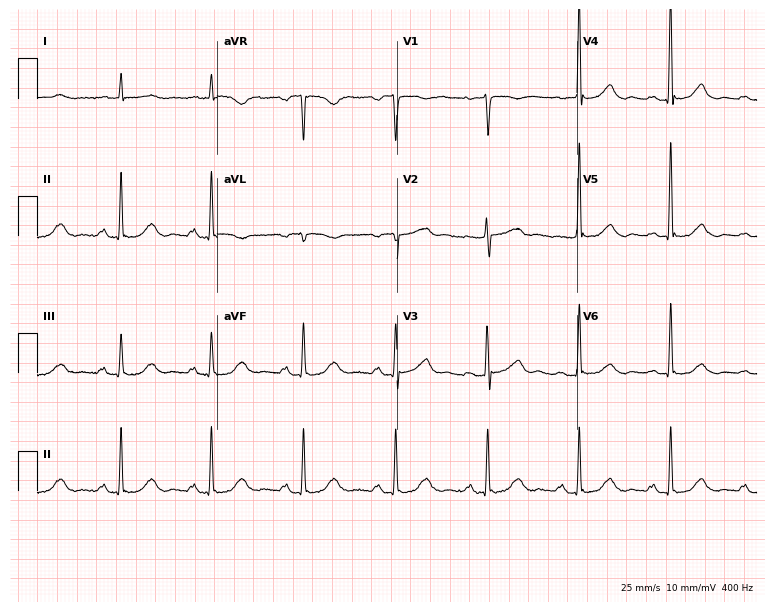
Standard 12-lead ECG recorded from an 83-year-old male (7.3-second recording at 400 Hz). None of these six findings is recorded: first-degree AV block, right bundle branch block, left bundle branch block, sinus bradycardia, atrial fibrillation, sinus tachycardia. Other findings, if any, are not listed.